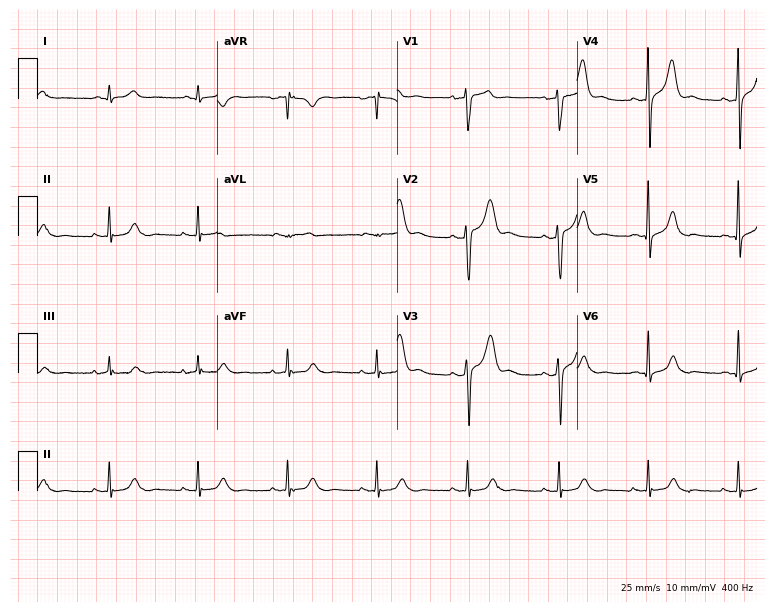
Standard 12-lead ECG recorded from a 50-year-old male. Read as a normal ECG.